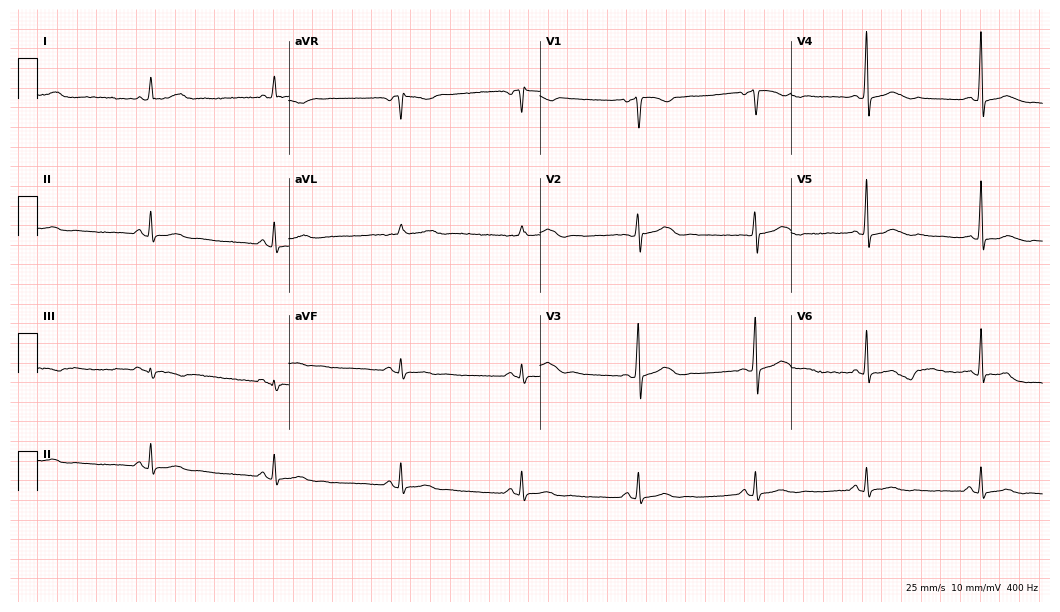
ECG — a 35-year-old female. Screened for six findings — first-degree AV block, right bundle branch block (RBBB), left bundle branch block (LBBB), sinus bradycardia, atrial fibrillation (AF), sinus tachycardia — none is recorded. Only these six findings were labelled.